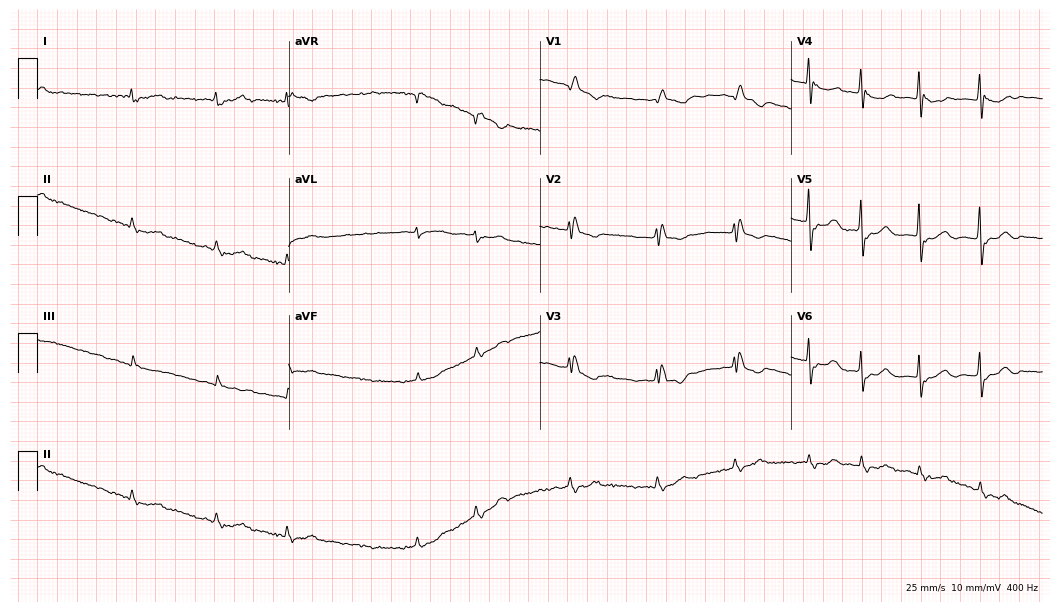
12-lead ECG from a woman, 82 years old. Shows right bundle branch block, atrial fibrillation.